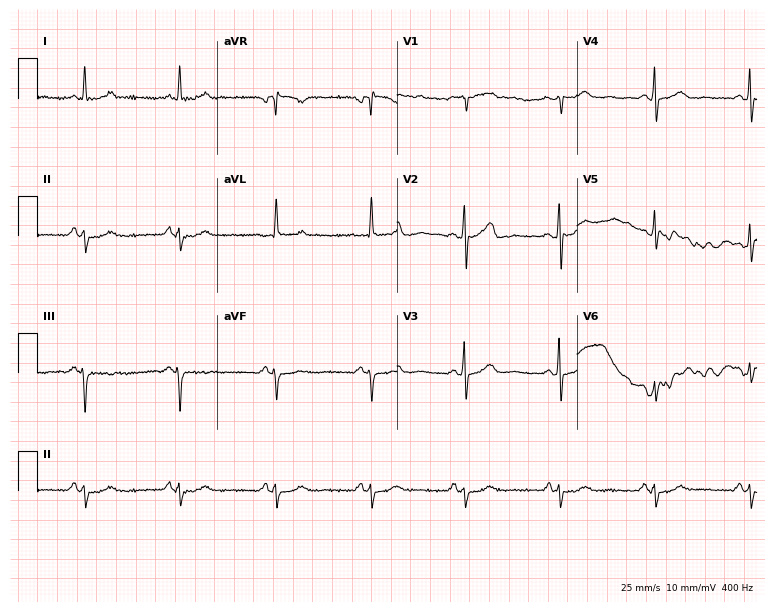
ECG — a 60-year-old female patient. Screened for six findings — first-degree AV block, right bundle branch block (RBBB), left bundle branch block (LBBB), sinus bradycardia, atrial fibrillation (AF), sinus tachycardia — none is recorded. Only these six findings were labelled.